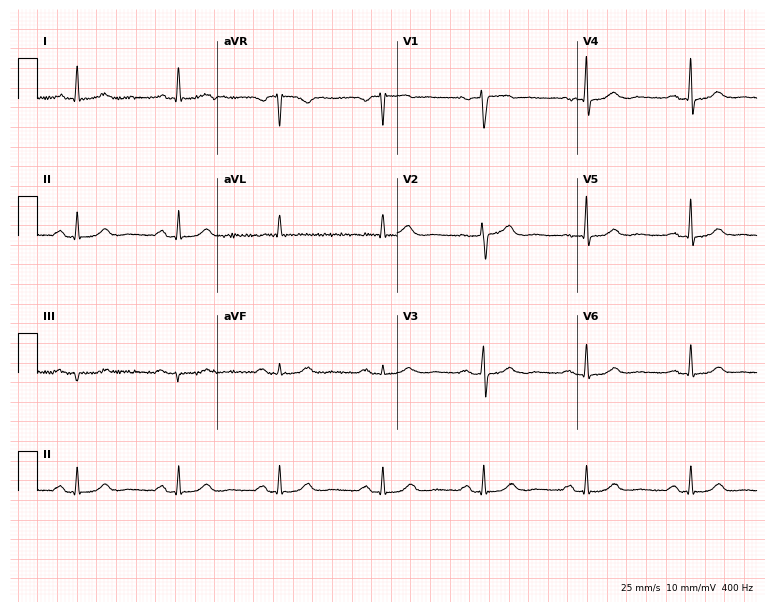
Electrocardiogram, a 56-year-old female patient. Overall reading on record: normal ECG.